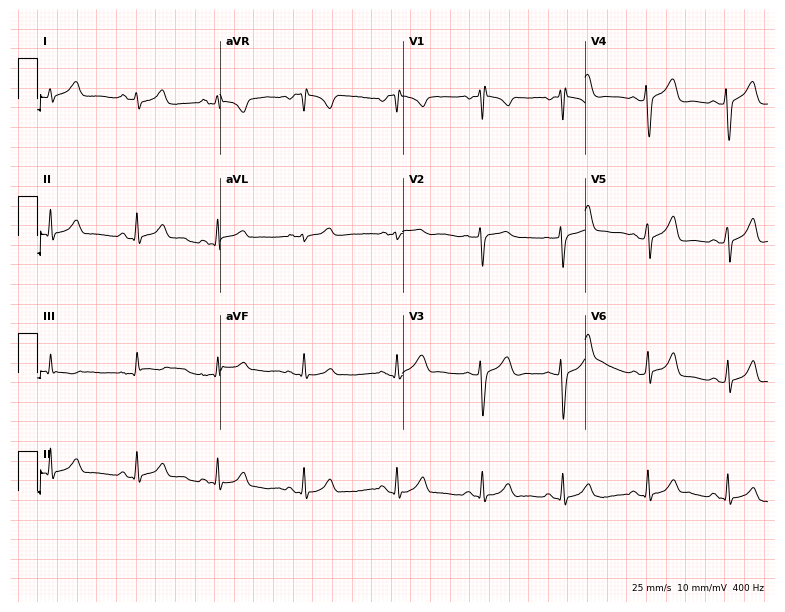
Resting 12-lead electrocardiogram (7.4-second recording at 400 Hz). Patient: a 20-year-old female. Read as a normal ECG.